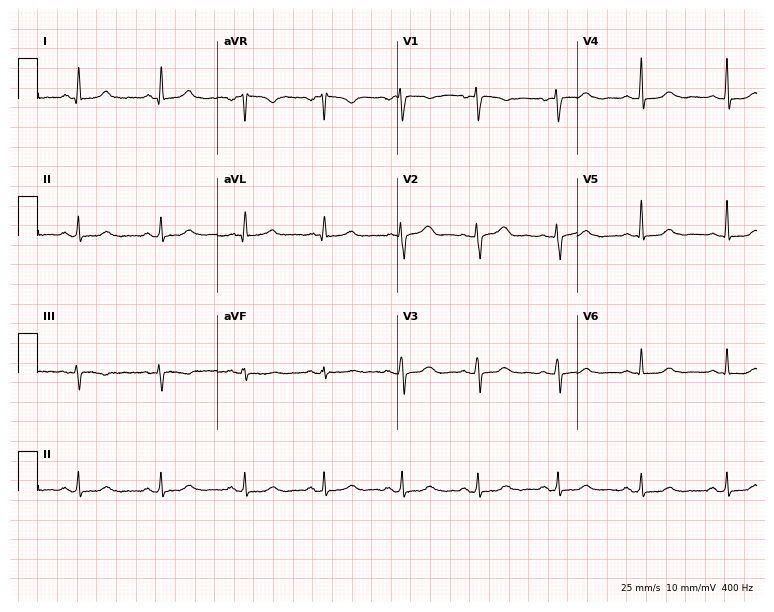
12-lead ECG from a 55-year-old female (7.3-second recording at 400 Hz). Recorded interpretation: within normal limits.